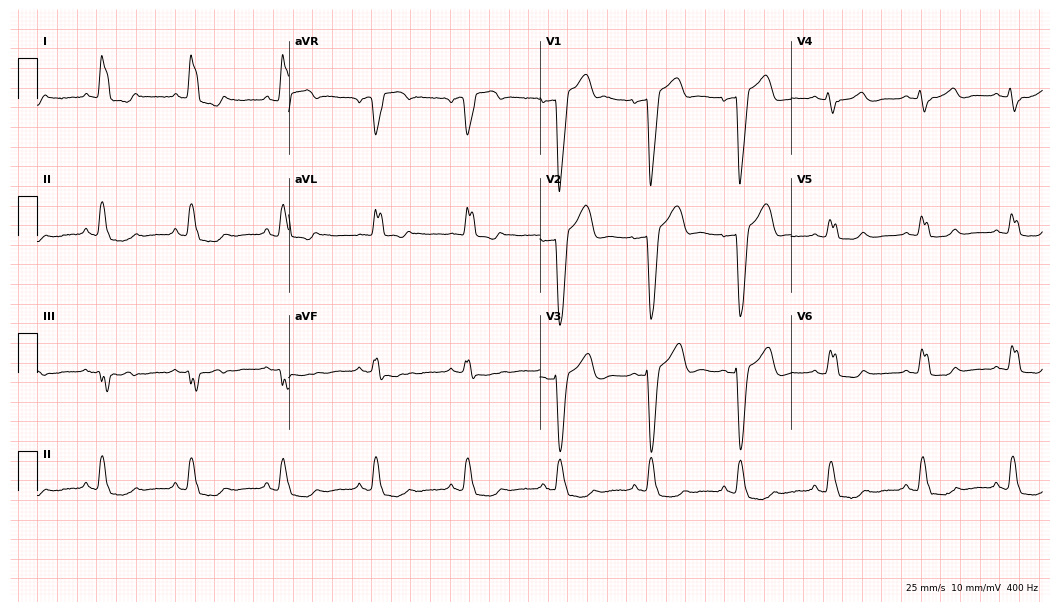
12-lead ECG (10.2-second recording at 400 Hz) from a woman, 54 years old. Findings include left bundle branch block.